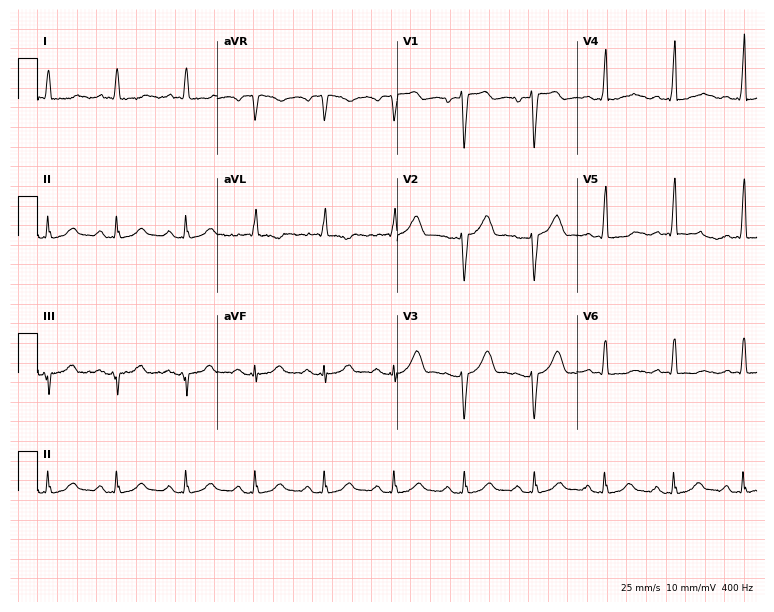
12-lead ECG from a 75-year-old male (7.3-second recording at 400 Hz). No first-degree AV block, right bundle branch block, left bundle branch block, sinus bradycardia, atrial fibrillation or sinus tachycardia recorded for this tracing. Other findings, if any, are not listed.